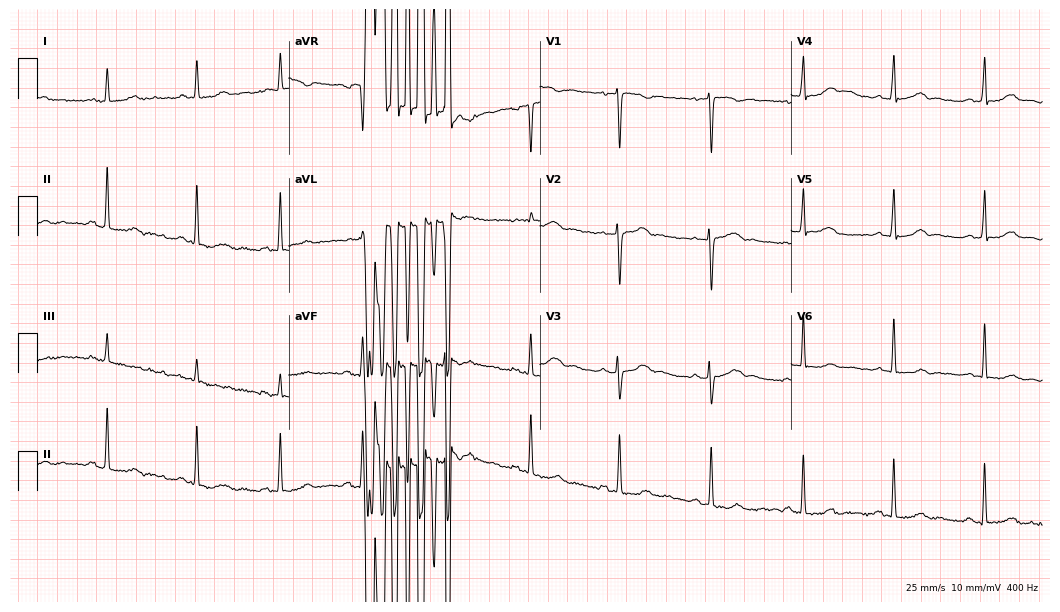
12-lead ECG from a female, 36 years old. Screened for six findings — first-degree AV block, right bundle branch block, left bundle branch block, sinus bradycardia, atrial fibrillation, sinus tachycardia — none is recorded.